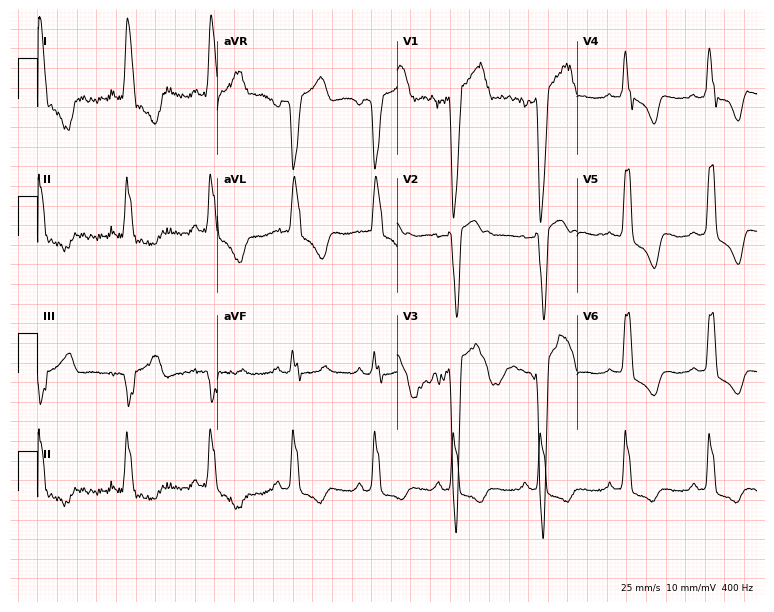
ECG — a 55-year-old male. Findings include left bundle branch block.